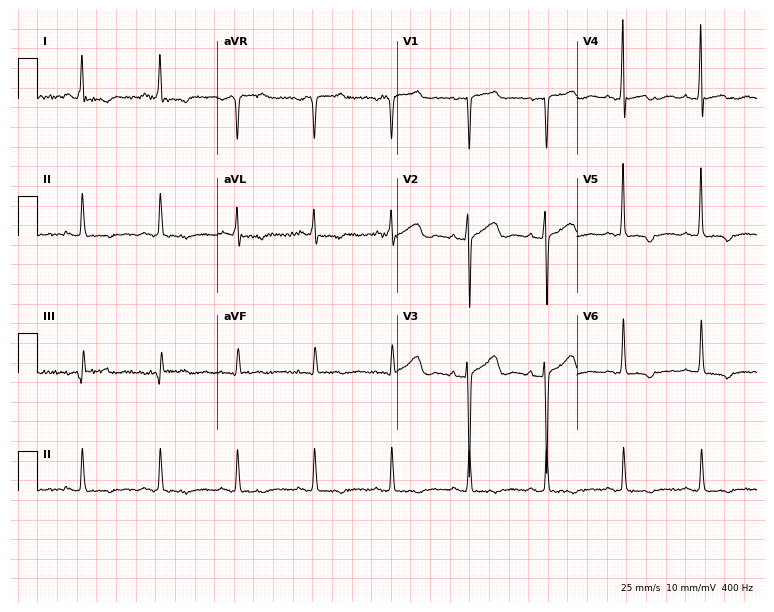
Resting 12-lead electrocardiogram. Patient: a female, 62 years old. None of these six findings is recorded: first-degree AV block, right bundle branch block, left bundle branch block, sinus bradycardia, atrial fibrillation, sinus tachycardia.